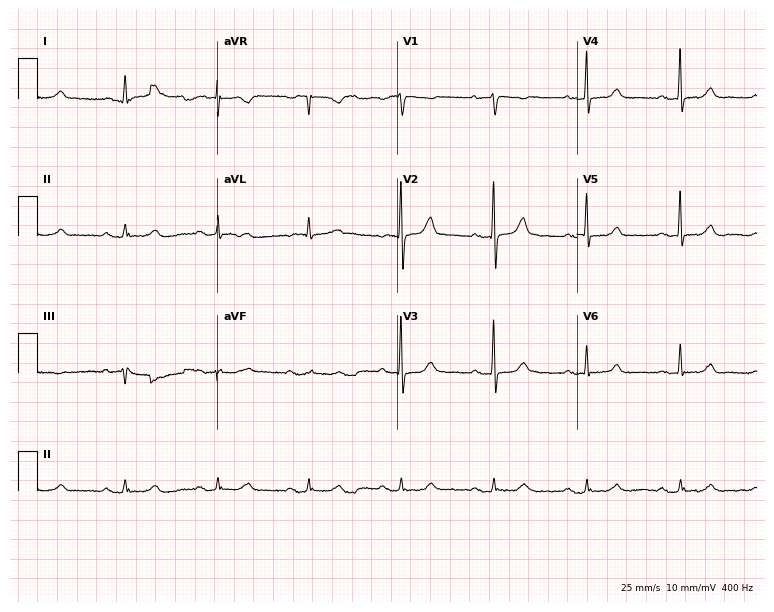
ECG — a 66-year-old woman. Screened for six findings — first-degree AV block, right bundle branch block, left bundle branch block, sinus bradycardia, atrial fibrillation, sinus tachycardia — none is recorded.